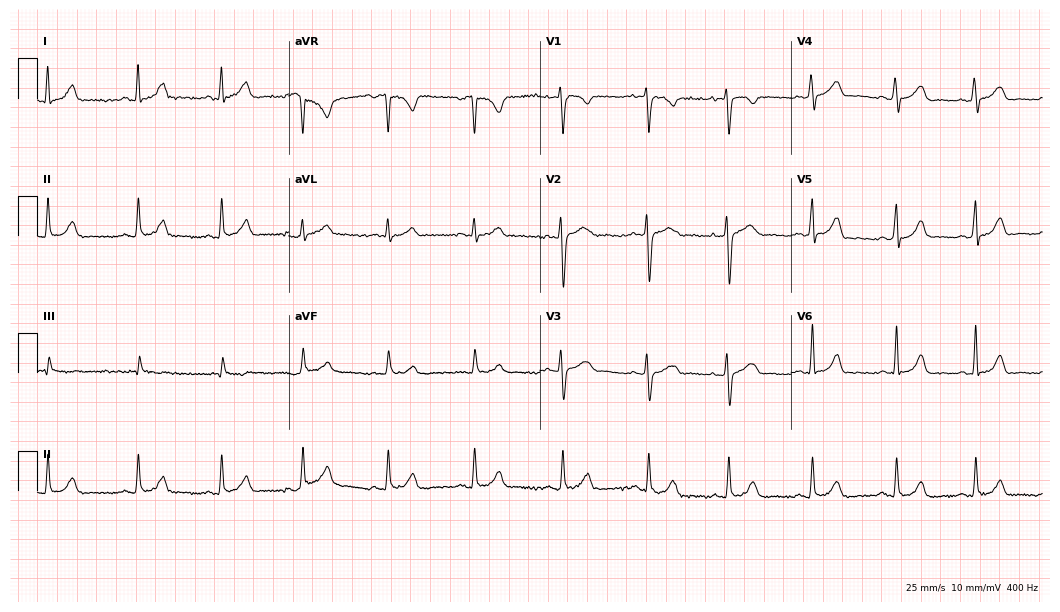
Standard 12-lead ECG recorded from a woman, 22 years old. Read as a normal ECG.